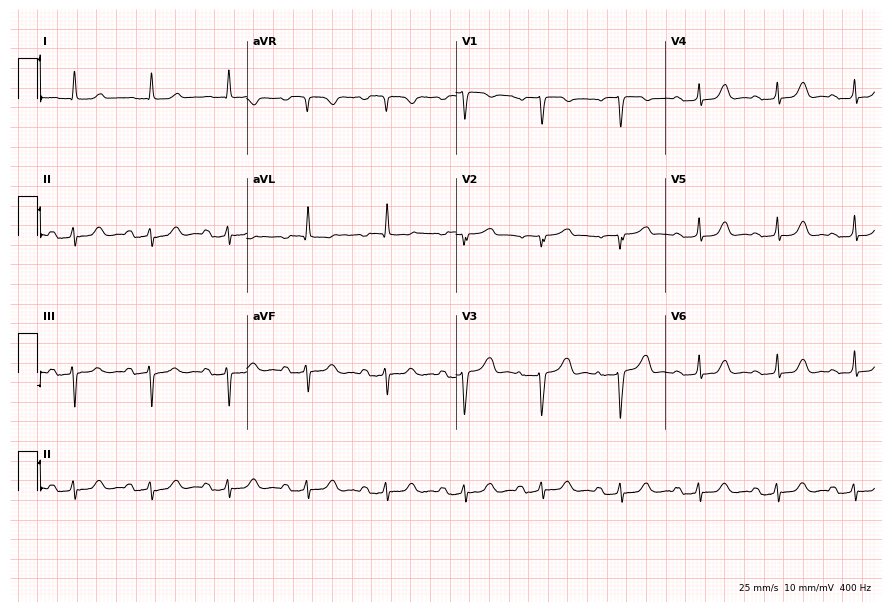
Electrocardiogram (8.5-second recording at 400 Hz), a woman, 71 years old. Interpretation includes first-degree AV block.